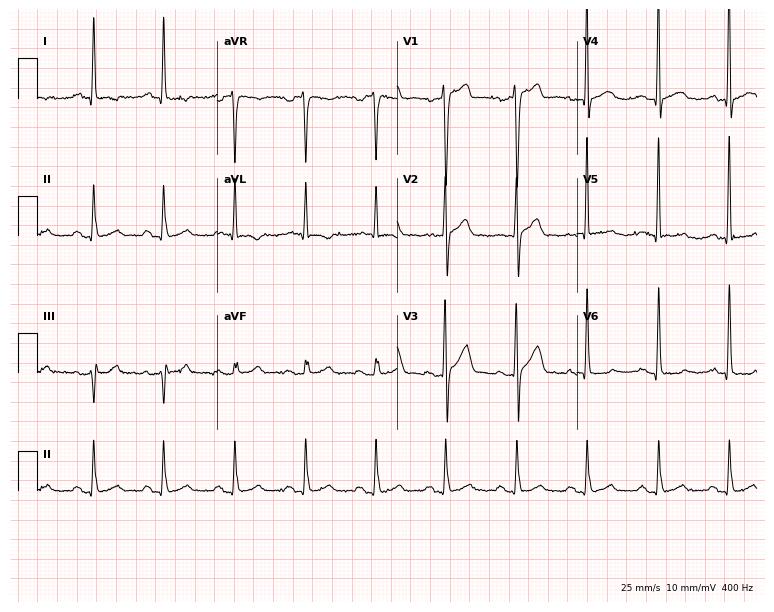
12-lead ECG from a 48-year-old male. Screened for six findings — first-degree AV block, right bundle branch block, left bundle branch block, sinus bradycardia, atrial fibrillation, sinus tachycardia — none is recorded.